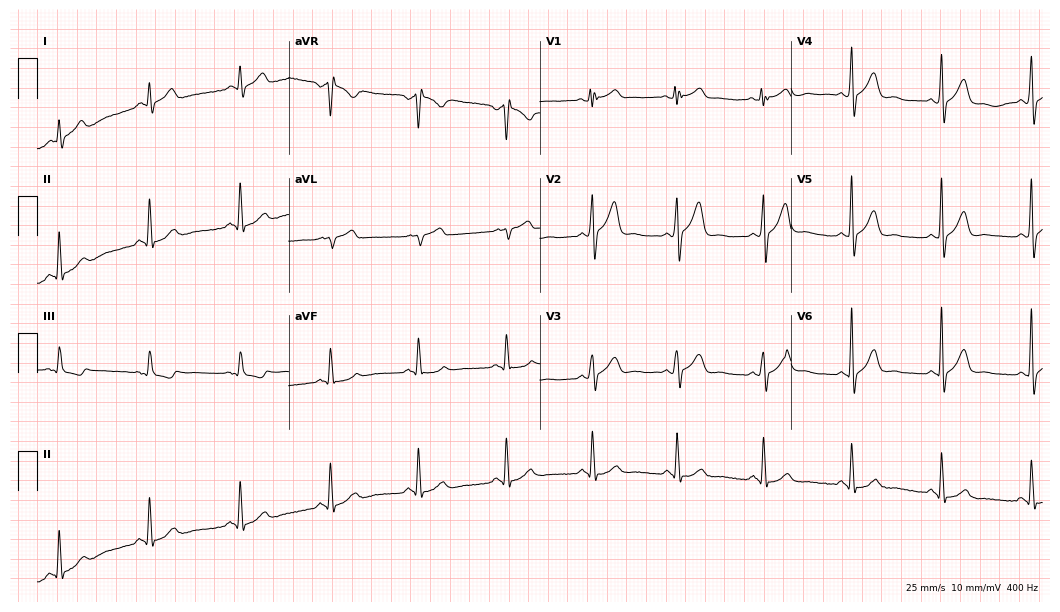
12-lead ECG from a male, 34 years old. Labelled as a normal ECG.